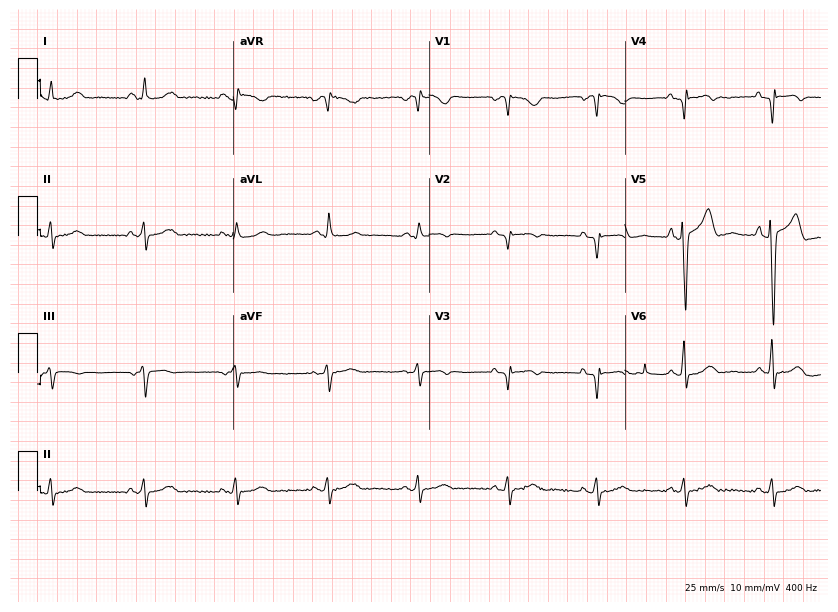
Electrocardiogram (8-second recording at 400 Hz), a female, 69 years old. Of the six screened findings (first-degree AV block, right bundle branch block, left bundle branch block, sinus bradycardia, atrial fibrillation, sinus tachycardia), none is recorded.